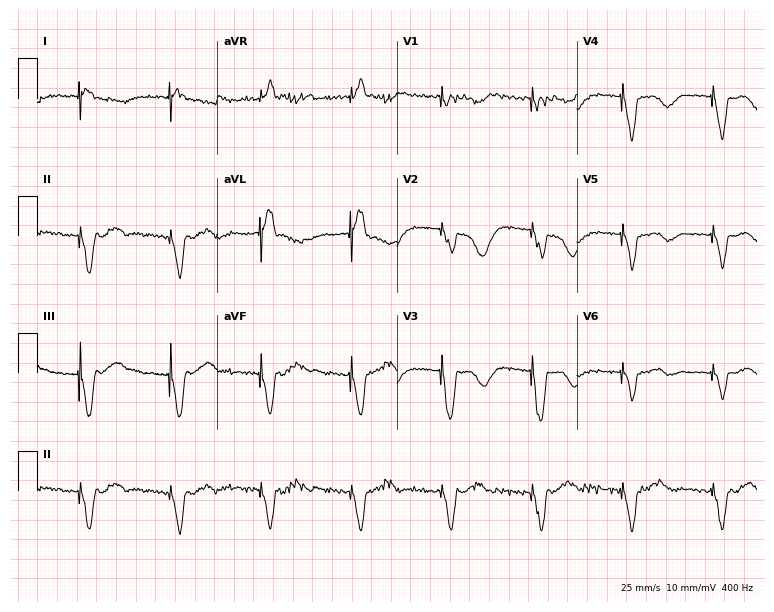
ECG (7.3-second recording at 400 Hz) — a woman, 84 years old. Screened for six findings — first-degree AV block, right bundle branch block, left bundle branch block, sinus bradycardia, atrial fibrillation, sinus tachycardia — none is recorded. Only these six findings were labelled.